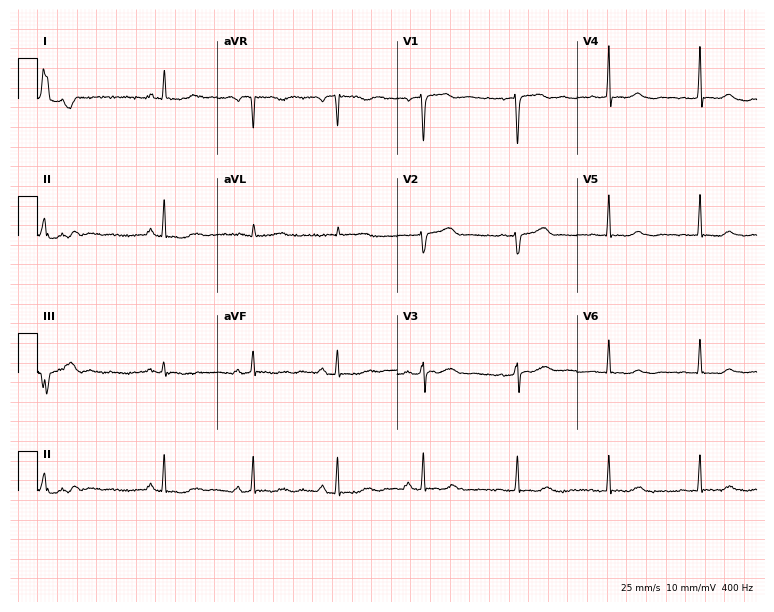
ECG — a 47-year-old female. Labelled as a normal ECG.